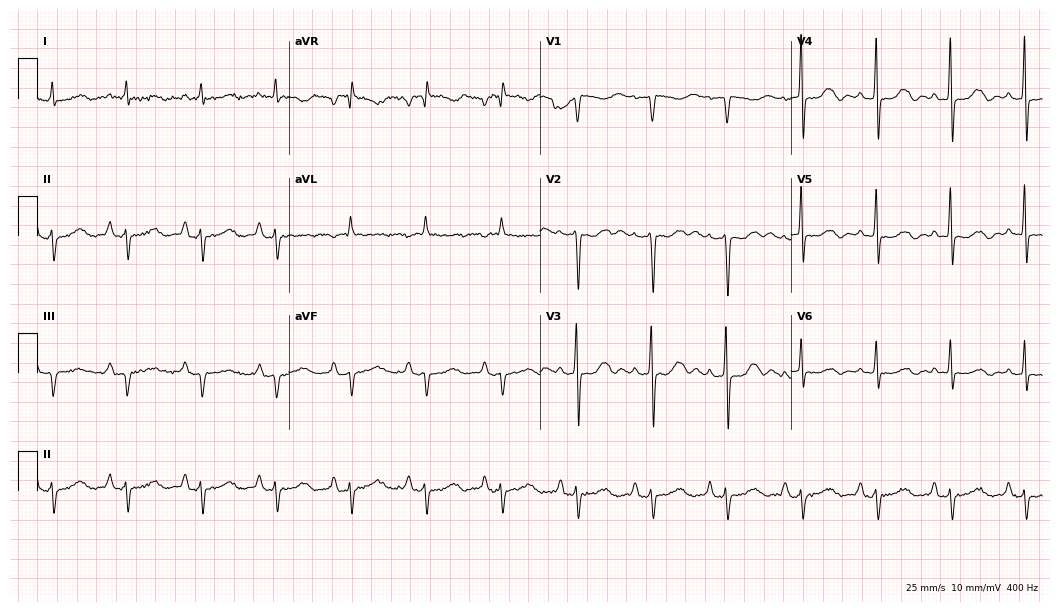
Standard 12-lead ECG recorded from a male patient, 48 years old. None of these six findings is recorded: first-degree AV block, right bundle branch block, left bundle branch block, sinus bradycardia, atrial fibrillation, sinus tachycardia. Findings outside these six are not listed.